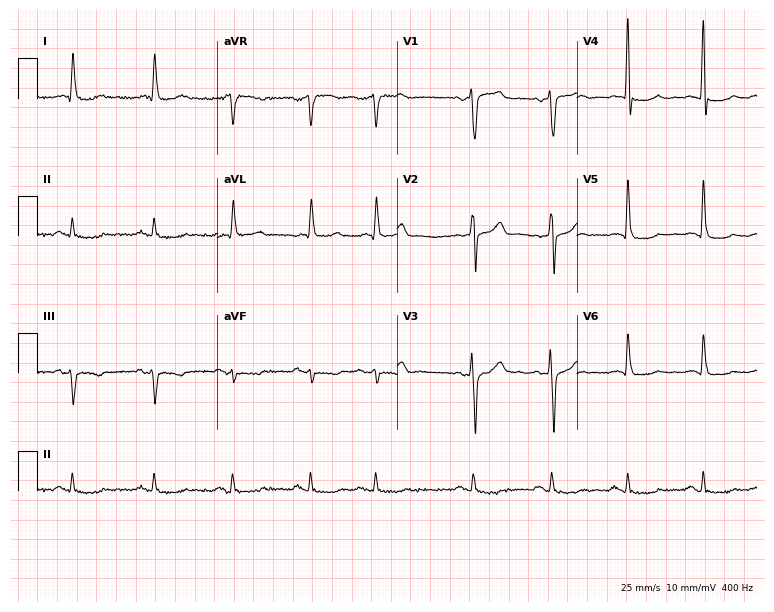
Standard 12-lead ECG recorded from a 73-year-old male (7.3-second recording at 400 Hz). None of these six findings is recorded: first-degree AV block, right bundle branch block, left bundle branch block, sinus bradycardia, atrial fibrillation, sinus tachycardia. Only these six findings were labelled.